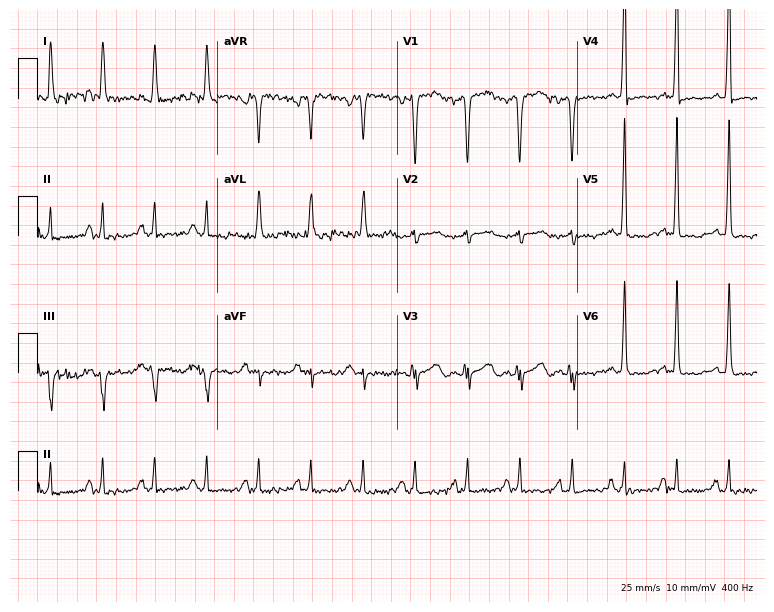
Electrocardiogram (7.3-second recording at 400 Hz), a female patient, 53 years old. Interpretation includes sinus tachycardia (a sinus rate of 100 beats per minute or more).